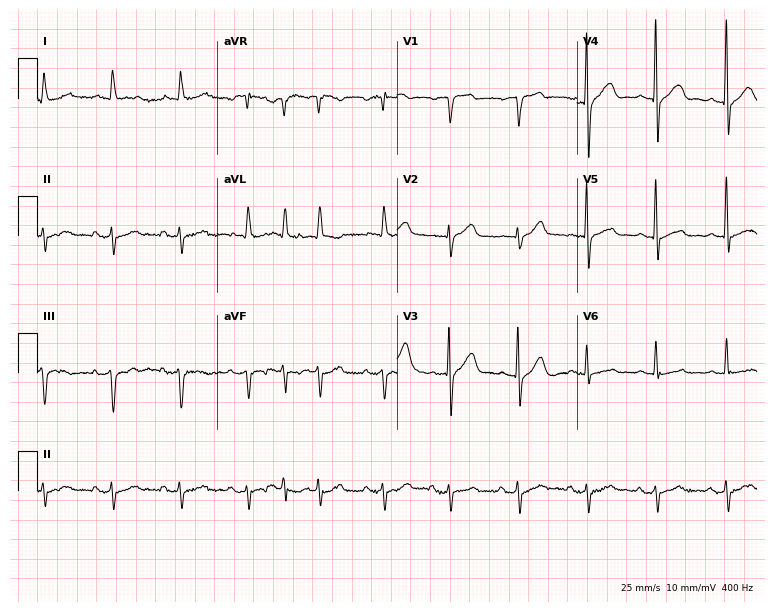
12-lead ECG from a male, 82 years old (7.3-second recording at 400 Hz). Recorded interpretation: within normal limits.